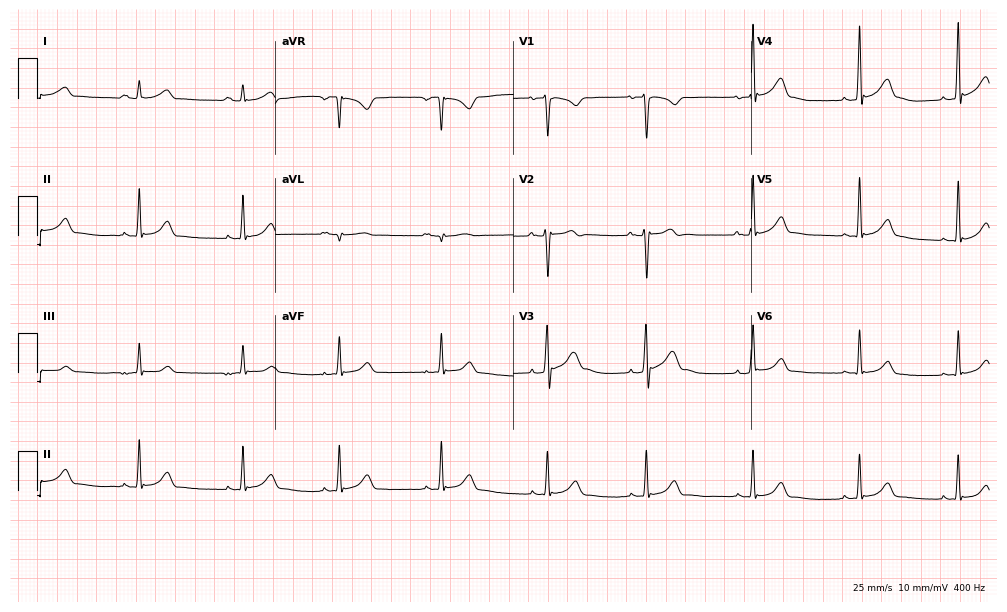
Electrocardiogram, a male patient, 27 years old. Overall reading on record: normal ECG.